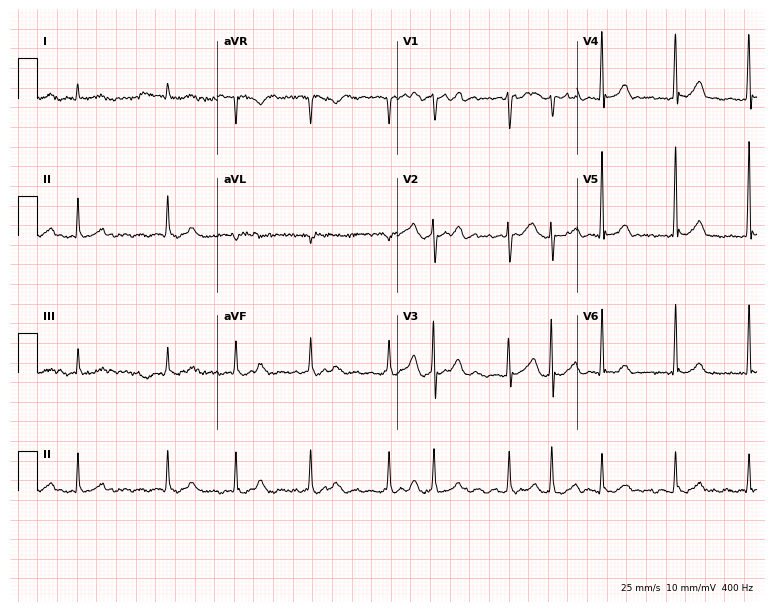
12-lead ECG from a woman, 59 years old. Findings include atrial fibrillation (AF).